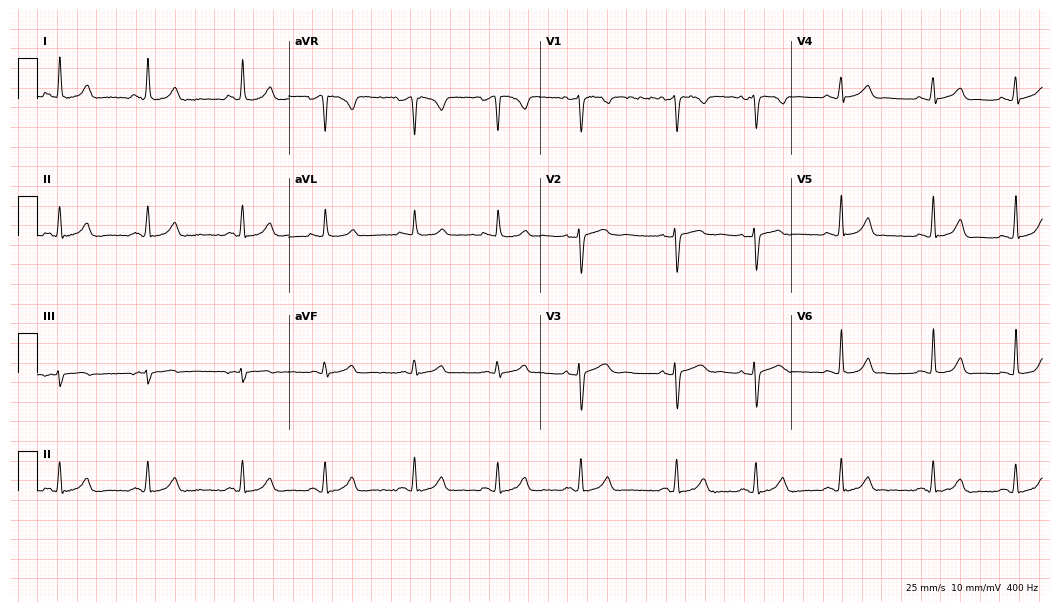
Electrocardiogram, a 29-year-old female patient. Of the six screened findings (first-degree AV block, right bundle branch block, left bundle branch block, sinus bradycardia, atrial fibrillation, sinus tachycardia), none is recorded.